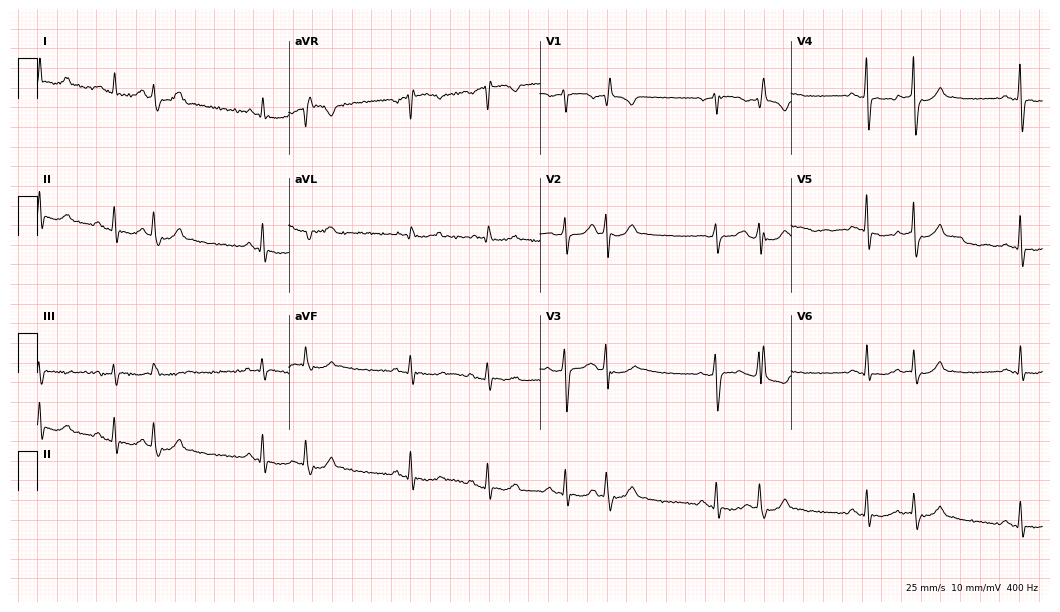
Resting 12-lead electrocardiogram. Patient: a female, 59 years old. None of these six findings is recorded: first-degree AV block, right bundle branch block, left bundle branch block, sinus bradycardia, atrial fibrillation, sinus tachycardia. Findings outside these six are not listed.